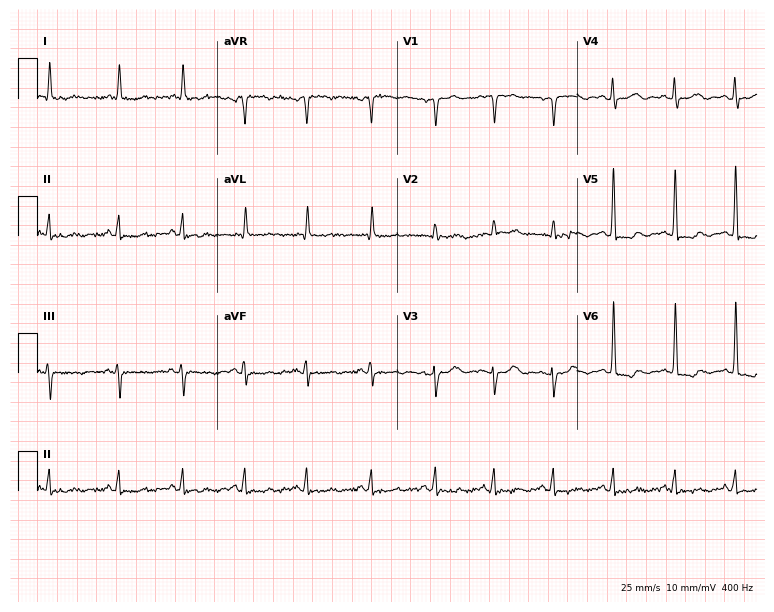
Electrocardiogram (7.3-second recording at 400 Hz), a female patient, 61 years old. Of the six screened findings (first-degree AV block, right bundle branch block, left bundle branch block, sinus bradycardia, atrial fibrillation, sinus tachycardia), none is recorded.